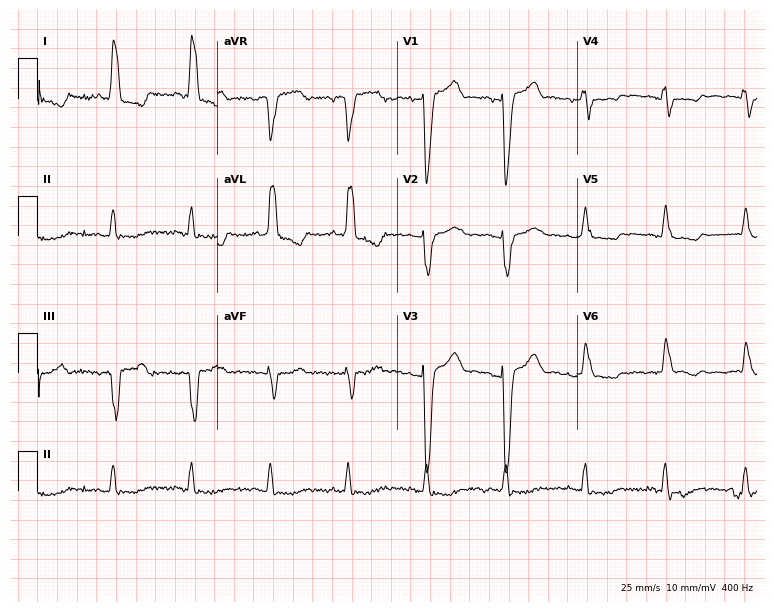
Electrocardiogram (7.3-second recording at 400 Hz), a female, 74 years old. Interpretation includes left bundle branch block (LBBB).